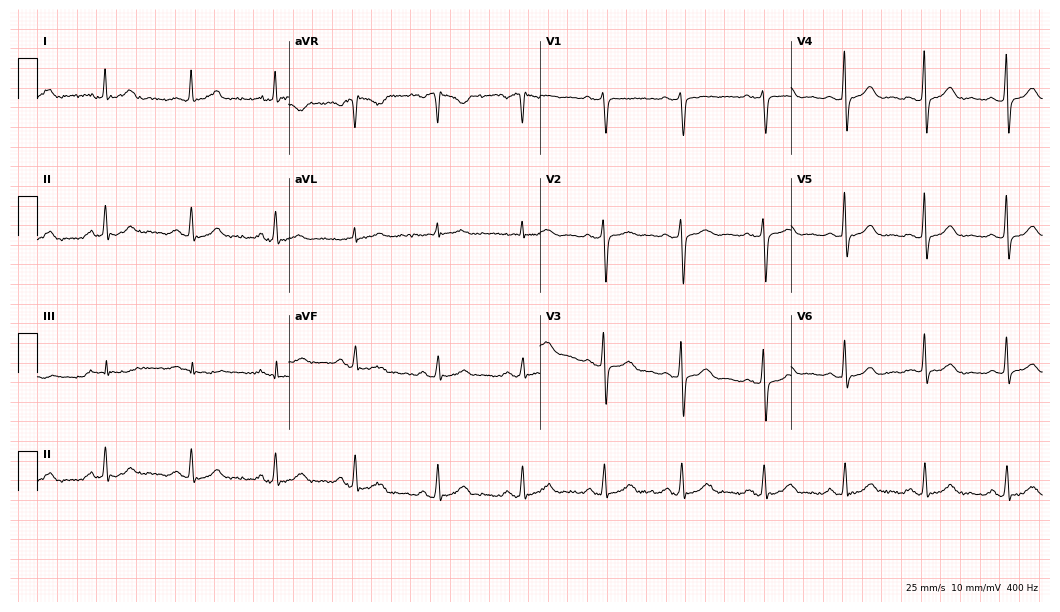
12-lead ECG from a 48-year-old female patient. No first-degree AV block, right bundle branch block, left bundle branch block, sinus bradycardia, atrial fibrillation or sinus tachycardia recorded for this tracing.